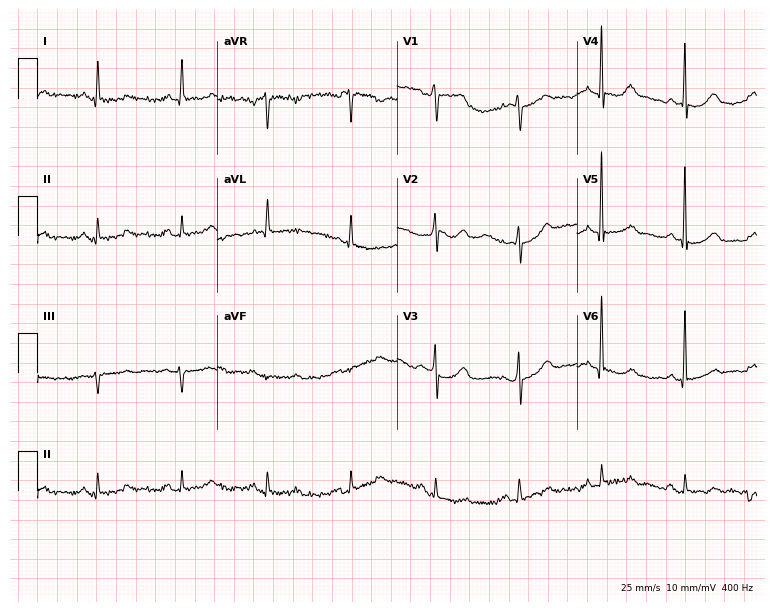
Resting 12-lead electrocardiogram (7.3-second recording at 400 Hz). Patient: a female, 56 years old. Read as a normal ECG.